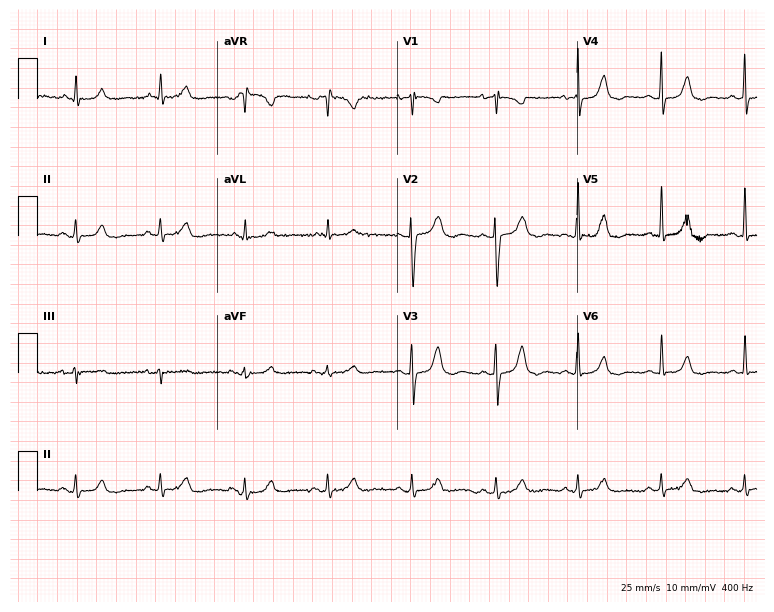
Resting 12-lead electrocardiogram (7.3-second recording at 400 Hz). Patient: an 82-year-old female. None of these six findings is recorded: first-degree AV block, right bundle branch block (RBBB), left bundle branch block (LBBB), sinus bradycardia, atrial fibrillation (AF), sinus tachycardia. Only these six findings were labelled.